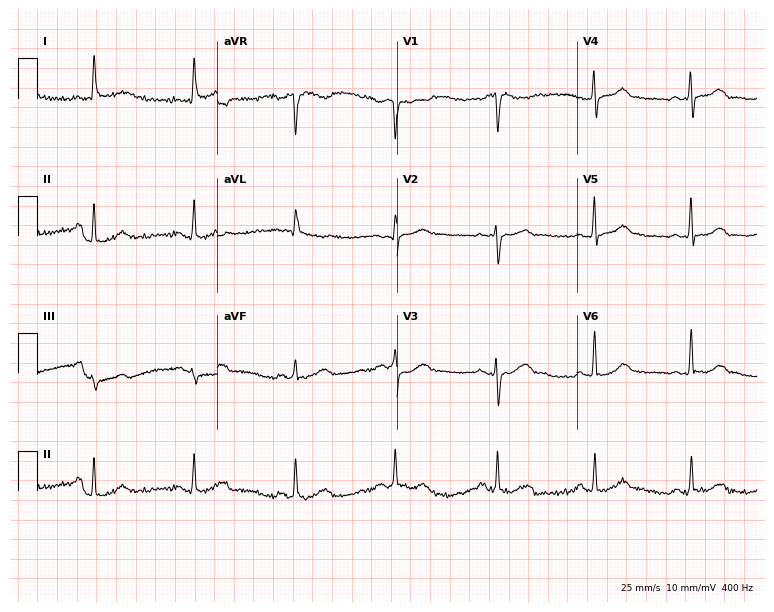
12-lead ECG from a woman, 53 years old (7.3-second recording at 400 Hz). No first-degree AV block, right bundle branch block, left bundle branch block, sinus bradycardia, atrial fibrillation or sinus tachycardia recorded for this tracing.